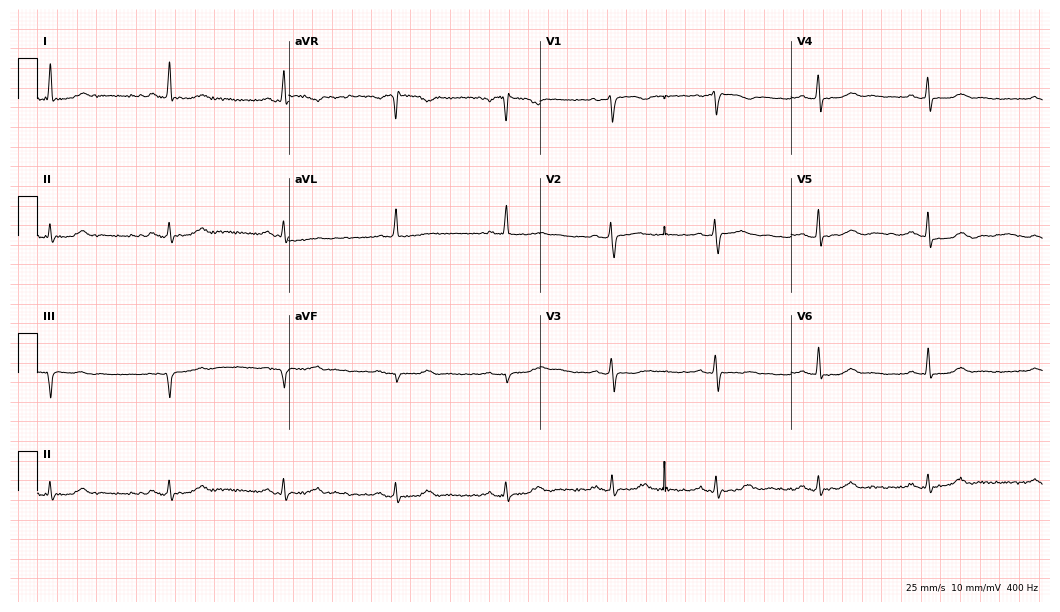
12-lead ECG (10.2-second recording at 400 Hz) from a female patient, 48 years old. Screened for six findings — first-degree AV block, right bundle branch block (RBBB), left bundle branch block (LBBB), sinus bradycardia, atrial fibrillation (AF), sinus tachycardia — none is recorded. Findings outside these six are not listed.